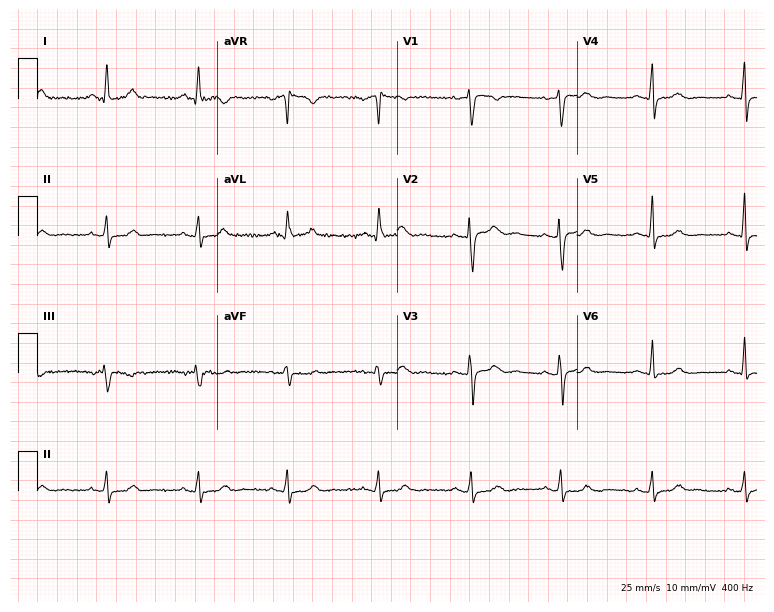
12-lead ECG from a female, 61 years old. No first-degree AV block, right bundle branch block, left bundle branch block, sinus bradycardia, atrial fibrillation or sinus tachycardia recorded for this tracing. Other findings, if any, are not listed.